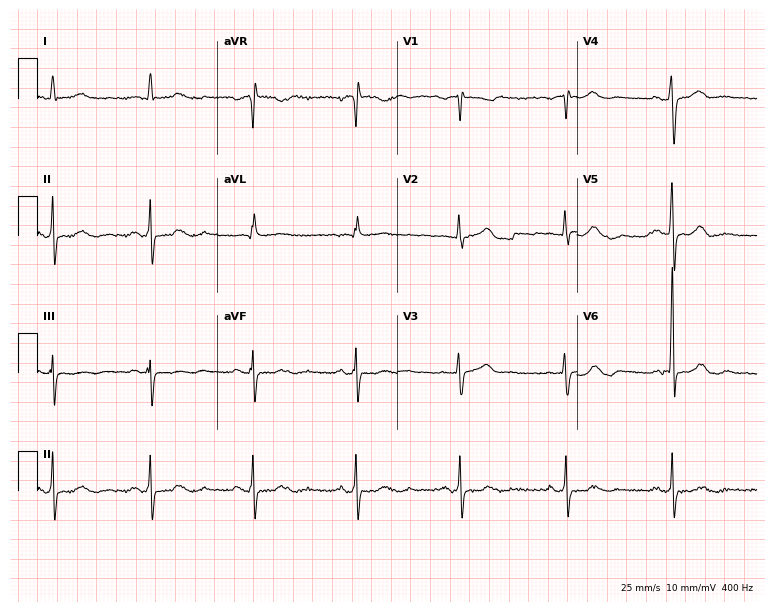
12-lead ECG from a 55-year-old female (7.3-second recording at 400 Hz). No first-degree AV block, right bundle branch block, left bundle branch block, sinus bradycardia, atrial fibrillation or sinus tachycardia recorded for this tracing. Other findings, if any, are not listed.